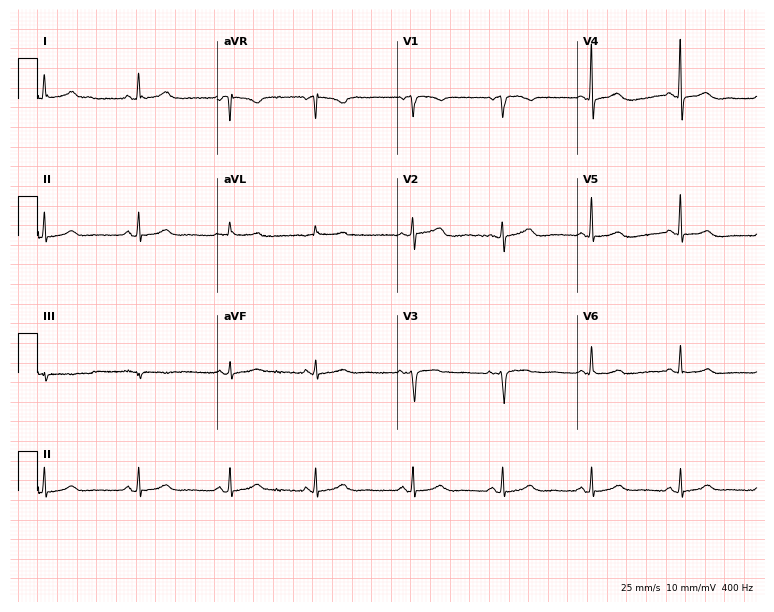
12-lead ECG from a 67-year-old female patient. Labelled as a normal ECG.